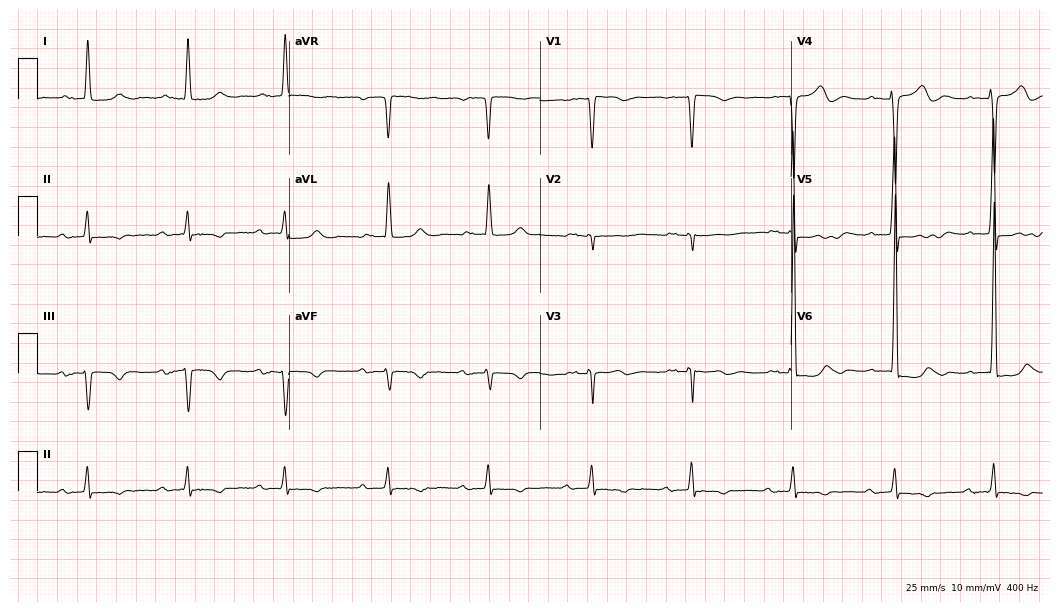
Standard 12-lead ECG recorded from a male patient, 71 years old. The tracing shows first-degree AV block.